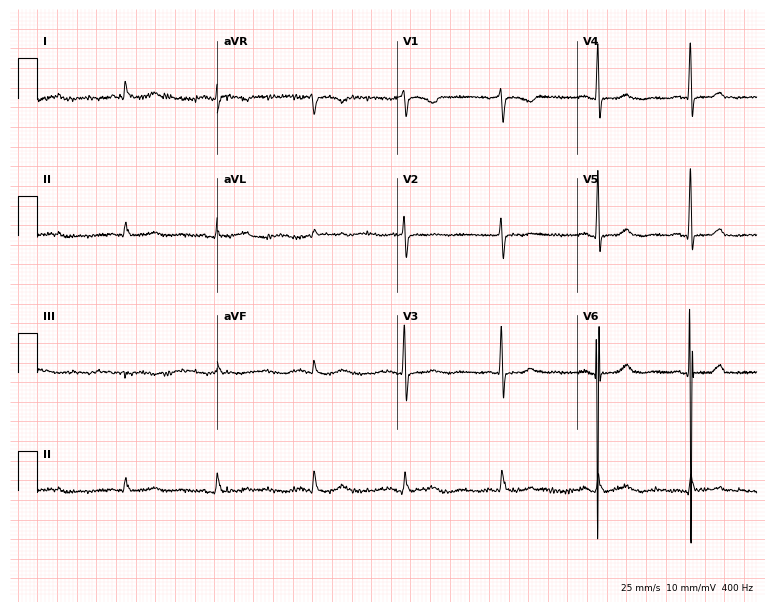
12-lead ECG from a woman, 78 years old. No first-degree AV block, right bundle branch block, left bundle branch block, sinus bradycardia, atrial fibrillation or sinus tachycardia recorded for this tracing.